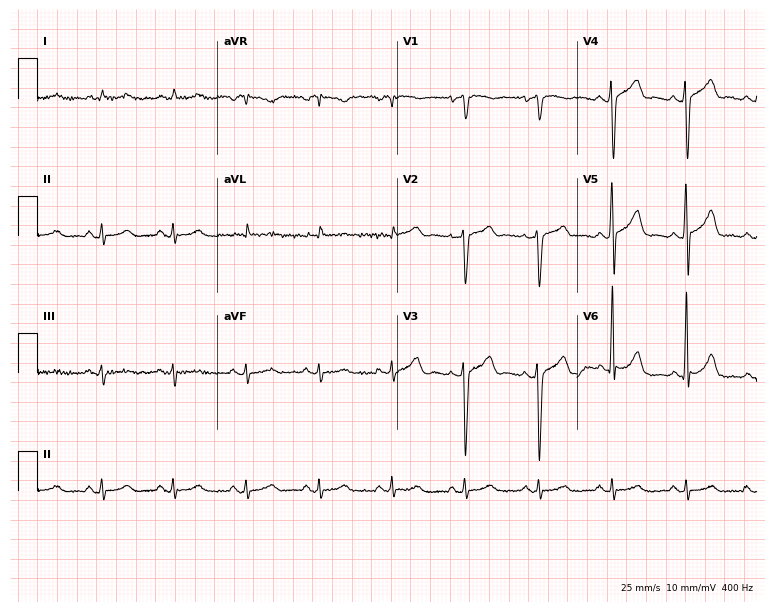
Resting 12-lead electrocardiogram (7.3-second recording at 400 Hz). Patient: a male, 66 years old. Read as a normal ECG.